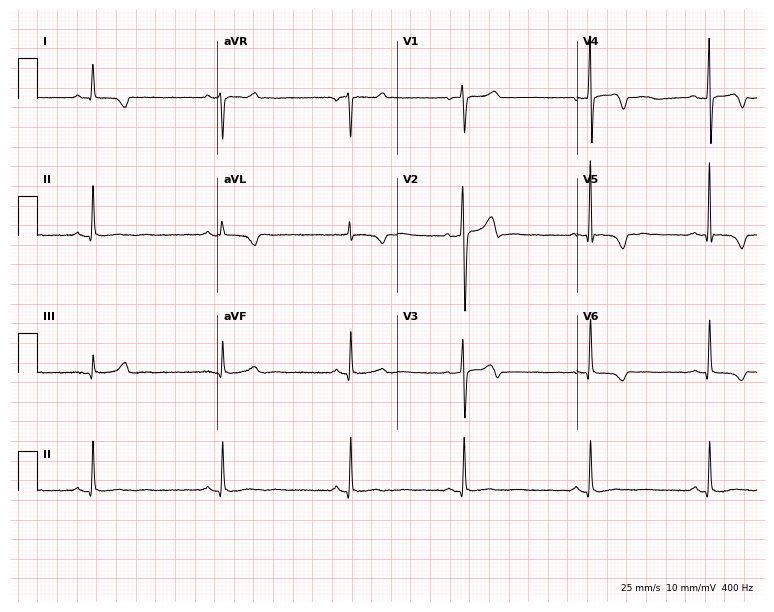
Resting 12-lead electrocardiogram (7.3-second recording at 400 Hz). Patient: a 63-year-old female. None of these six findings is recorded: first-degree AV block, right bundle branch block, left bundle branch block, sinus bradycardia, atrial fibrillation, sinus tachycardia.